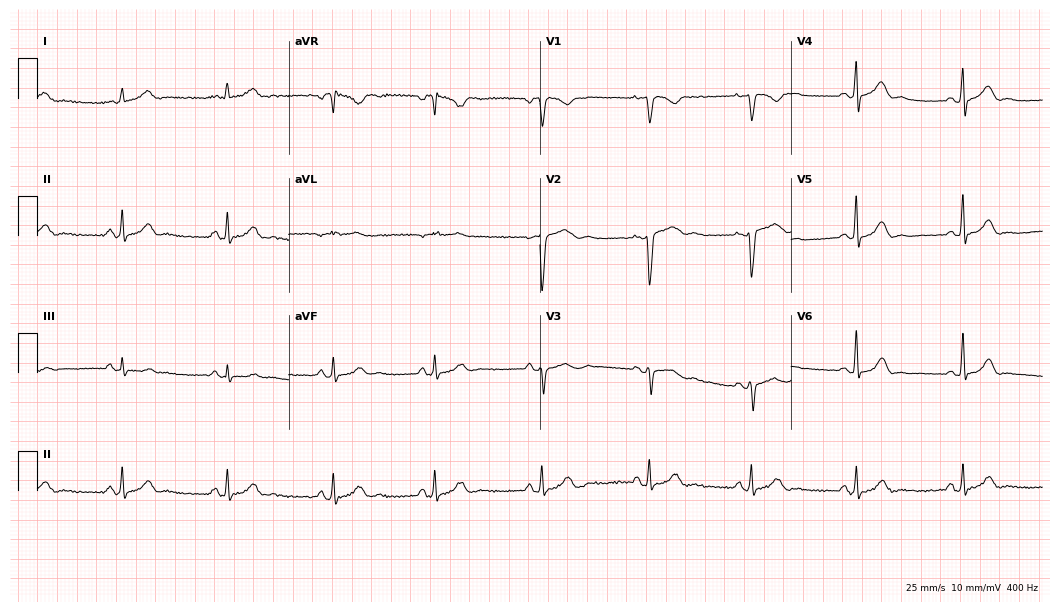
ECG — a 29-year-old female patient. Labelled as a normal ECG.